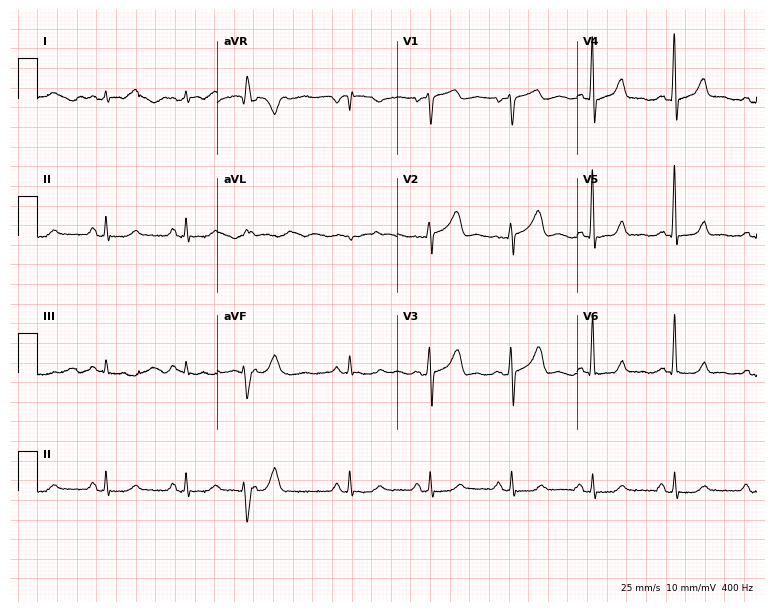
Standard 12-lead ECG recorded from a 65-year-old male patient (7.3-second recording at 400 Hz). None of these six findings is recorded: first-degree AV block, right bundle branch block, left bundle branch block, sinus bradycardia, atrial fibrillation, sinus tachycardia. Only these six findings were labelled.